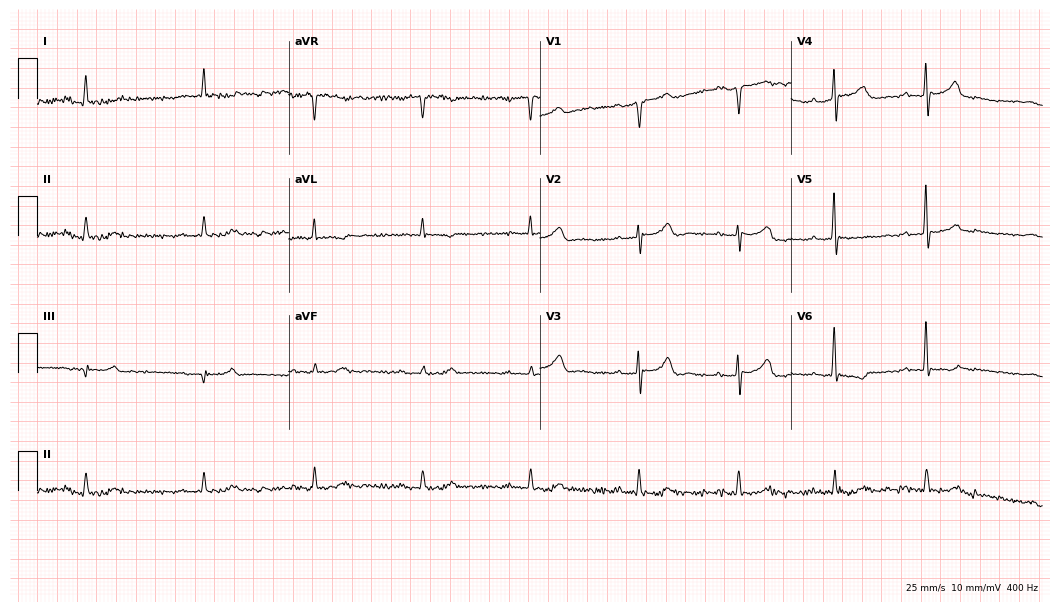
Resting 12-lead electrocardiogram. Patient: a man, 80 years old. None of these six findings is recorded: first-degree AV block, right bundle branch block, left bundle branch block, sinus bradycardia, atrial fibrillation, sinus tachycardia.